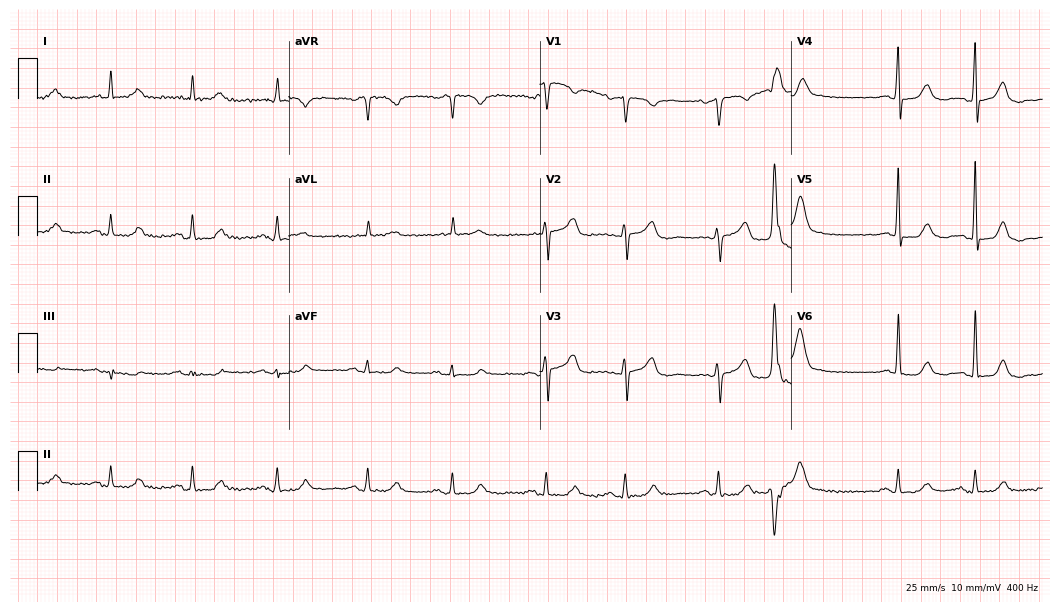
Standard 12-lead ECG recorded from an 82-year-old female. None of these six findings is recorded: first-degree AV block, right bundle branch block (RBBB), left bundle branch block (LBBB), sinus bradycardia, atrial fibrillation (AF), sinus tachycardia.